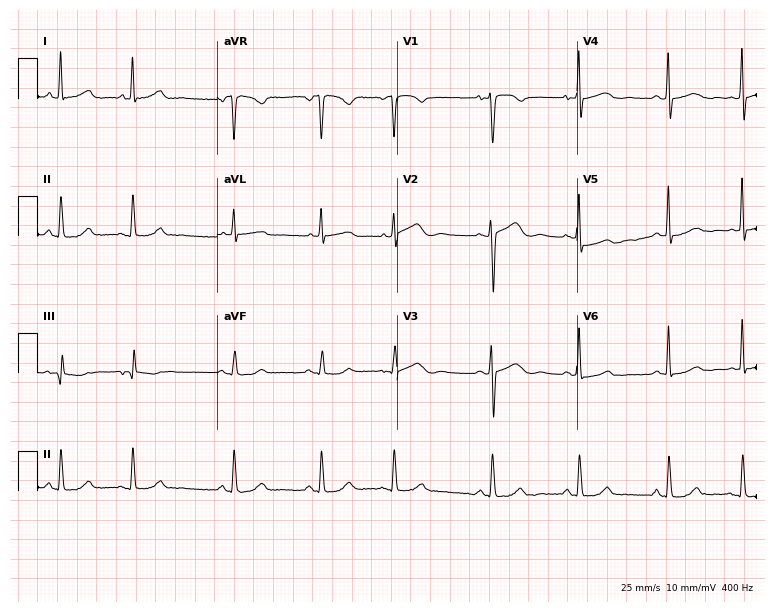
Resting 12-lead electrocardiogram. Patient: a woman, 49 years old. None of these six findings is recorded: first-degree AV block, right bundle branch block, left bundle branch block, sinus bradycardia, atrial fibrillation, sinus tachycardia. Only these six findings were labelled.